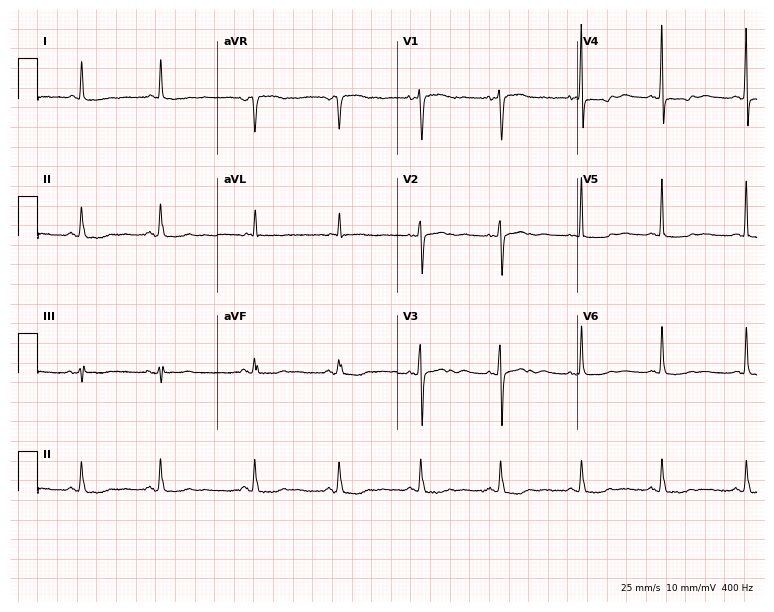
12-lead ECG (7.3-second recording at 400 Hz) from a 73-year-old female. Screened for six findings — first-degree AV block, right bundle branch block, left bundle branch block, sinus bradycardia, atrial fibrillation, sinus tachycardia — none is recorded.